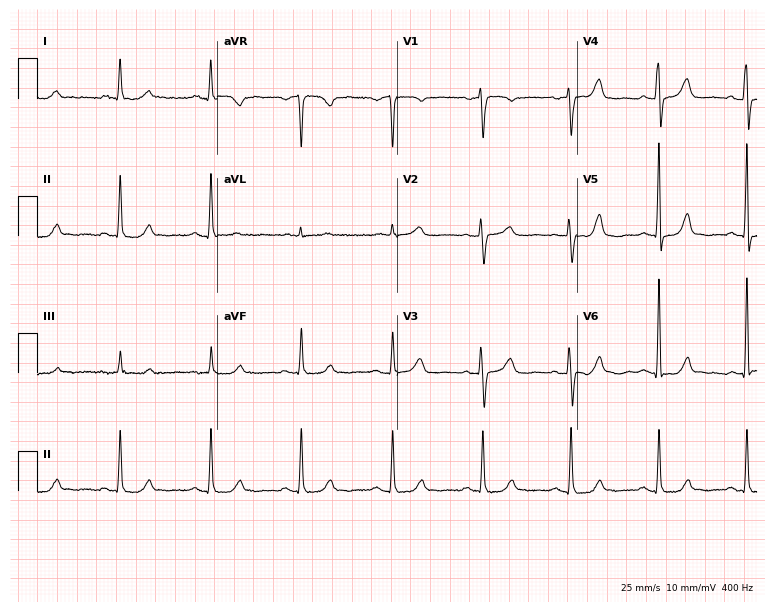
12-lead ECG from a 67-year-old woman (7.3-second recording at 400 Hz). No first-degree AV block, right bundle branch block (RBBB), left bundle branch block (LBBB), sinus bradycardia, atrial fibrillation (AF) or sinus tachycardia recorded for this tracing.